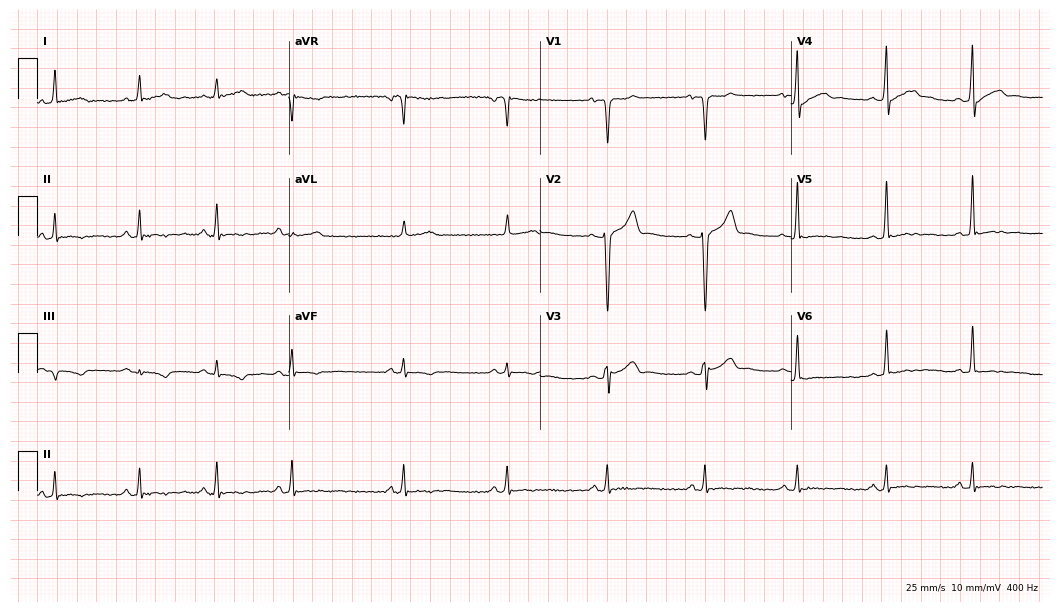
Resting 12-lead electrocardiogram. Patient: a 35-year-old man. None of these six findings is recorded: first-degree AV block, right bundle branch block, left bundle branch block, sinus bradycardia, atrial fibrillation, sinus tachycardia.